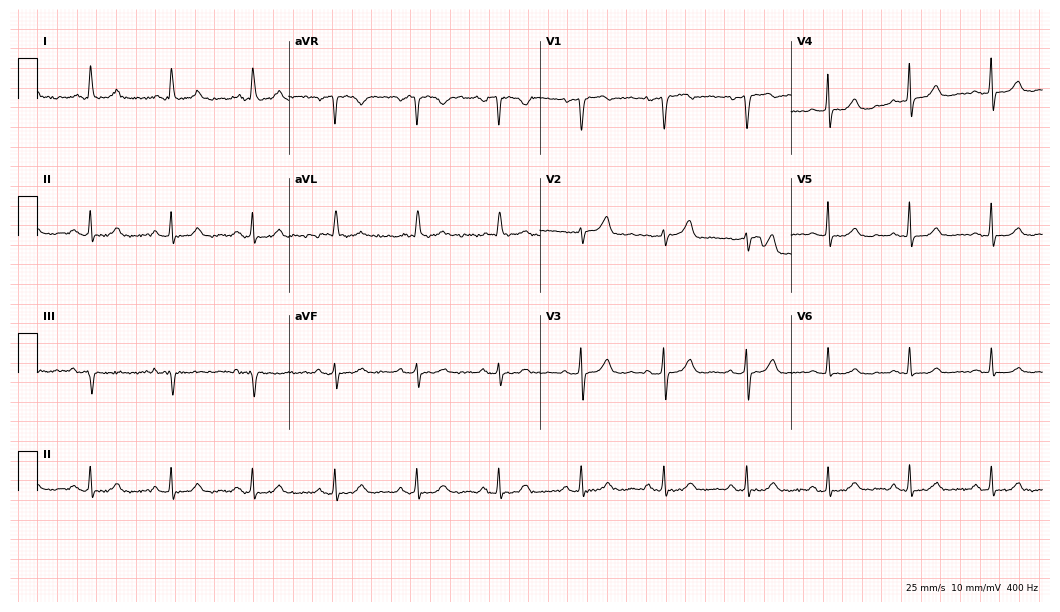
12-lead ECG from a female patient, 81 years old (10.2-second recording at 400 Hz). Recorded interpretation: within normal limits.